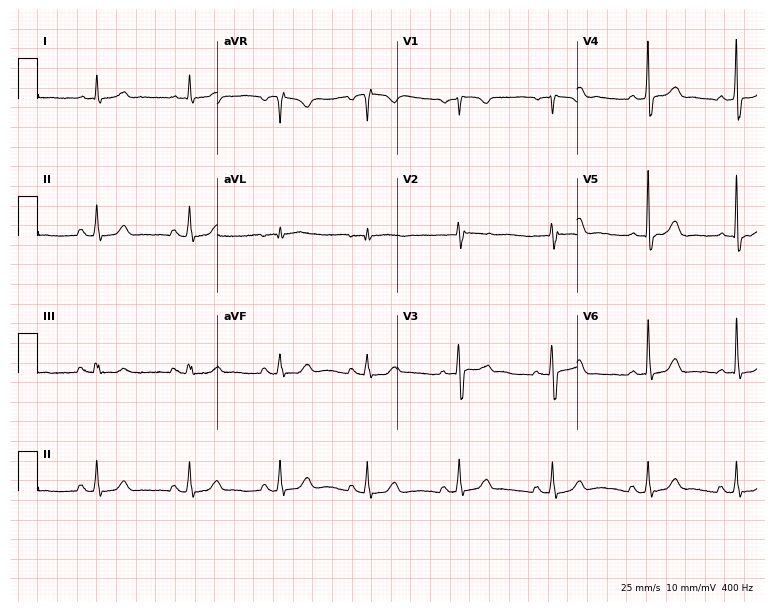
12-lead ECG from a 57-year-old female. Labelled as a normal ECG.